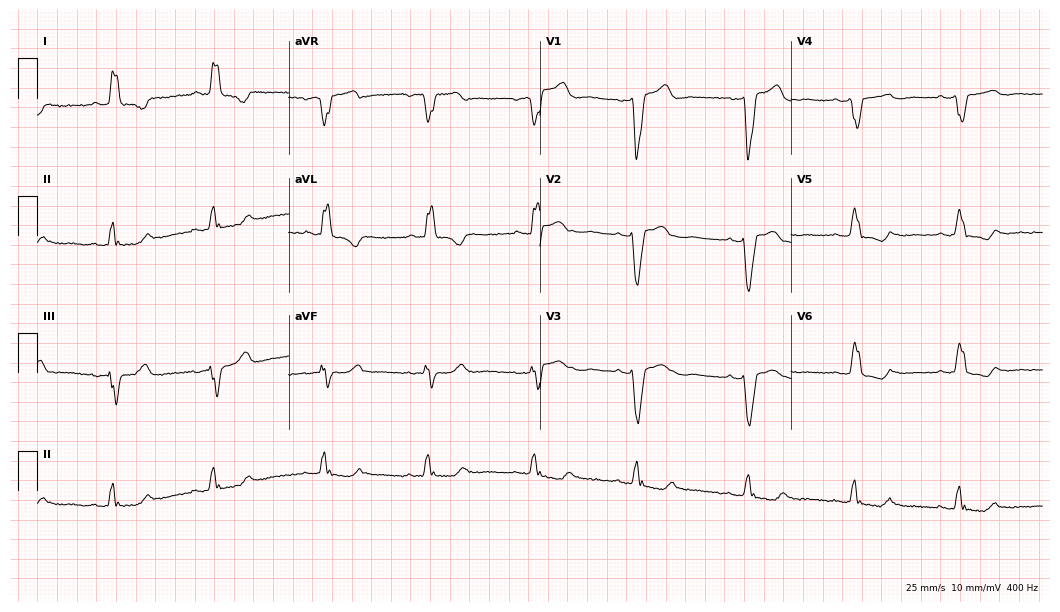
12-lead ECG from a 62-year-old female. Findings include left bundle branch block.